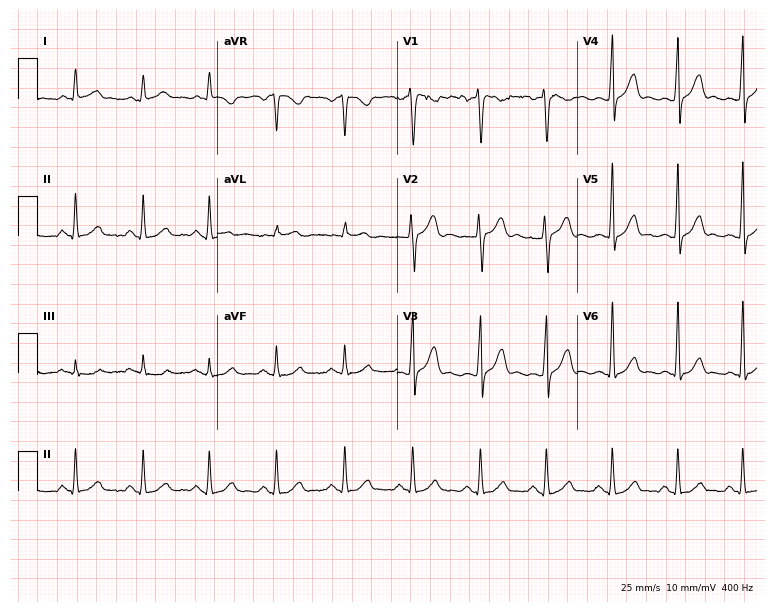
Electrocardiogram (7.3-second recording at 400 Hz), a man, 39 years old. Of the six screened findings (first-degree AV block, right bundle branch block, left bundle branch block, sinus bradycardia, atrial fibrillation, sinus tachycardia), none is recorded.